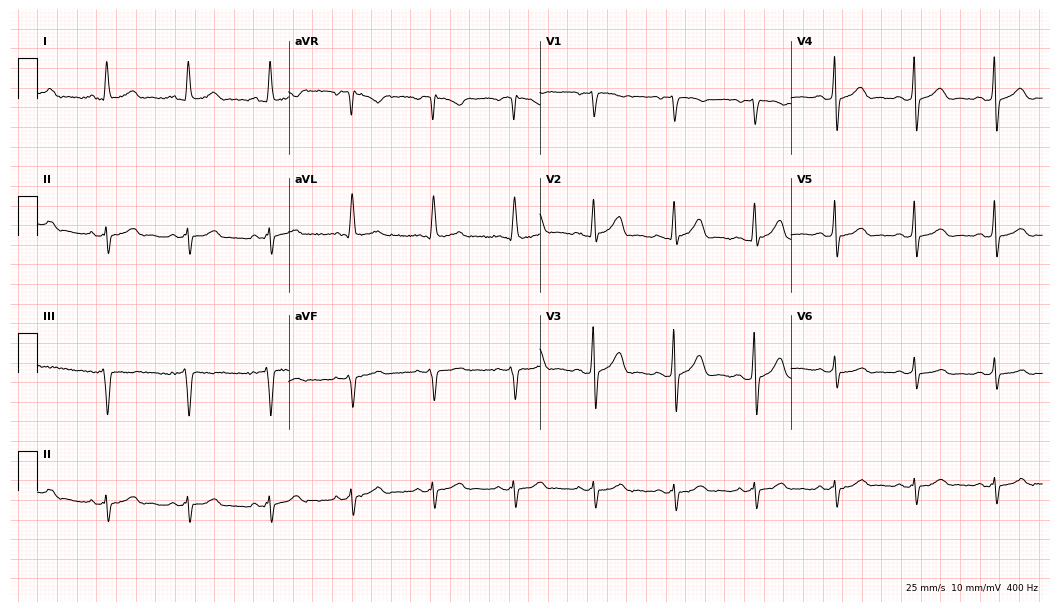
12-lead ECG from a woman, 70 years old. Recorded interpretation: within normal limits.